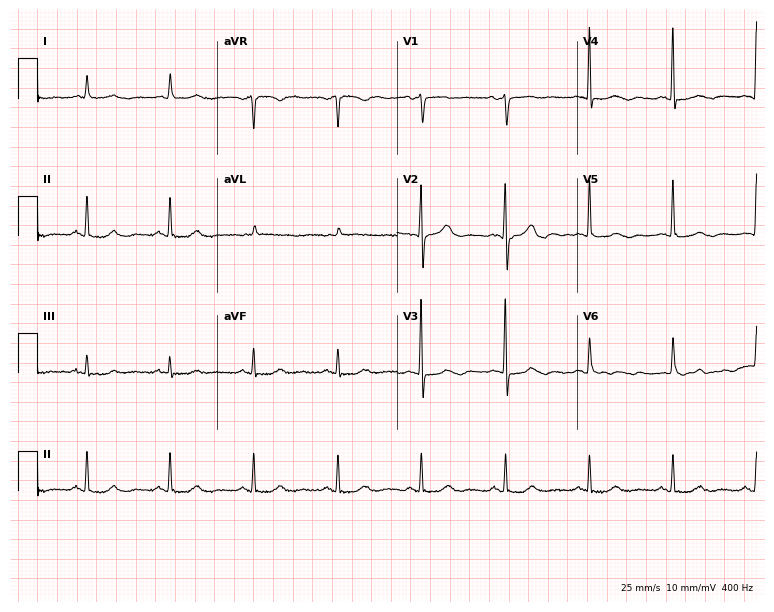
ECG (7.3-second recording at 400 Hz) — a woman, 85 years old. Labelled as a normal ECG.